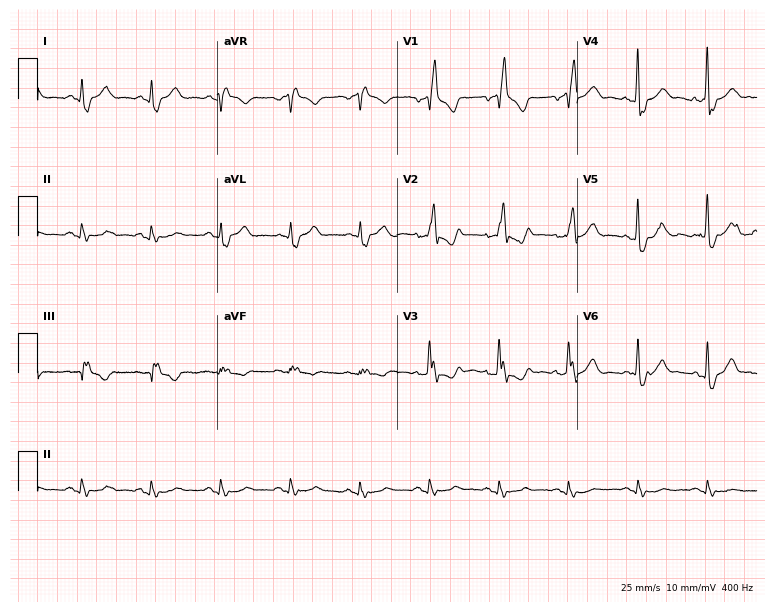
ECG — a male, 77 years old. Findings include right bundle branch block.